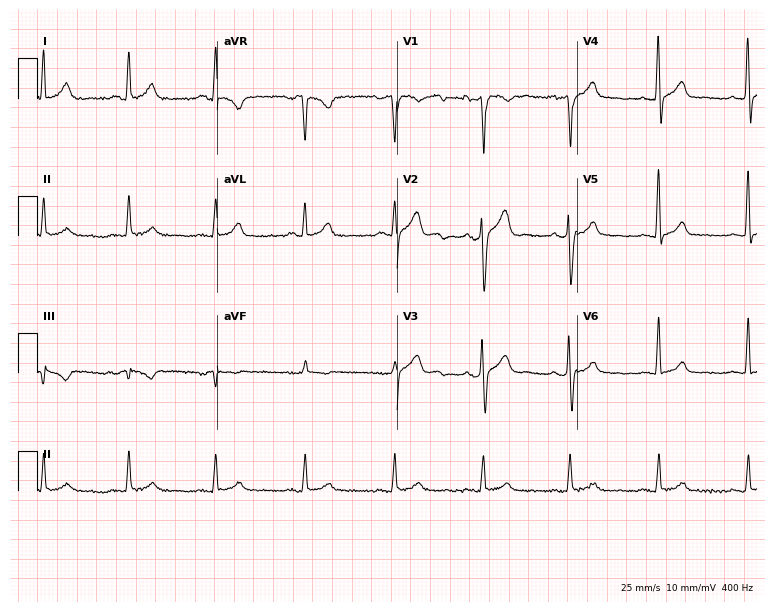
Resting 12-lead electrocardiogram (7.3-second recording at 400 Hz). Patient: a 43-year-old male. None of these six findings is recorded: first-degree AV block, right bundle branch block (RBBB), left bundle branch block (LBBB), sinus bradycardia, atrial fibrillation (AF), sinus tachycardia.